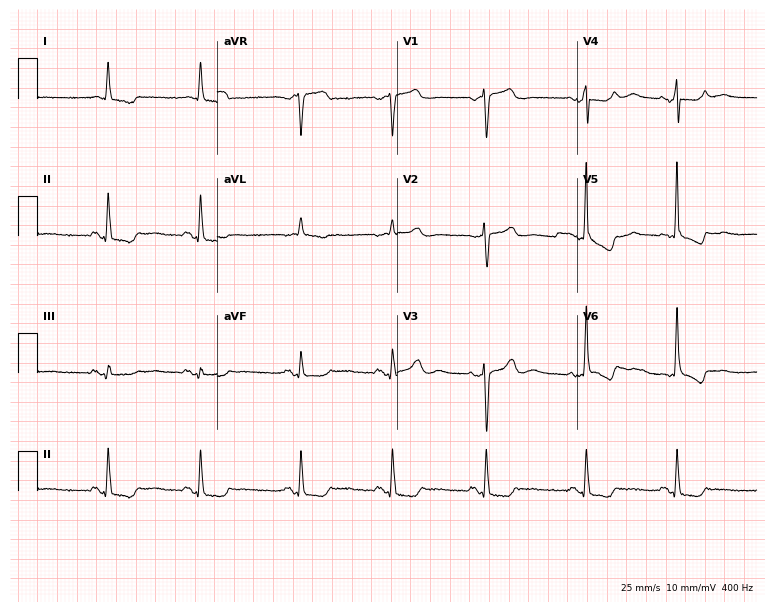
Resting 12-lead electrocardiogram (7.3-second recording at 400 Hz). Patient: a 75-year-old female. None of these six findings is recorded: first-degree AV block, right bundle branch block, left bundle branch block, sinus bradycardia, atrial fibrillation, sinus tachycardia. Other findings, if any, are not listed.